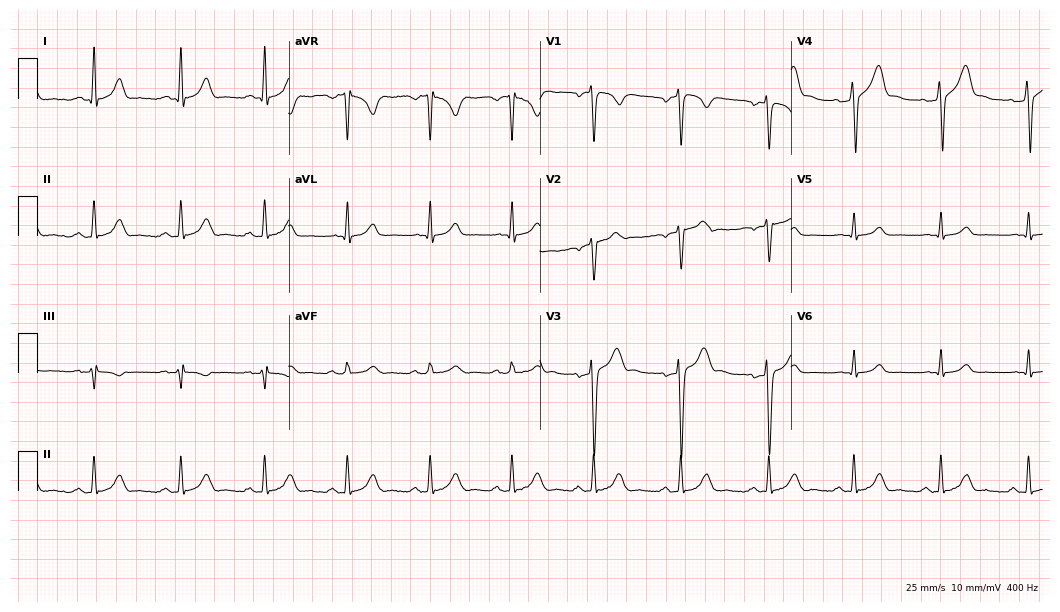
Standard 12-lead ECG recorded from a male patient, 39 years old (10.2-second recording at 400 Hz). Read as a normal ECG.